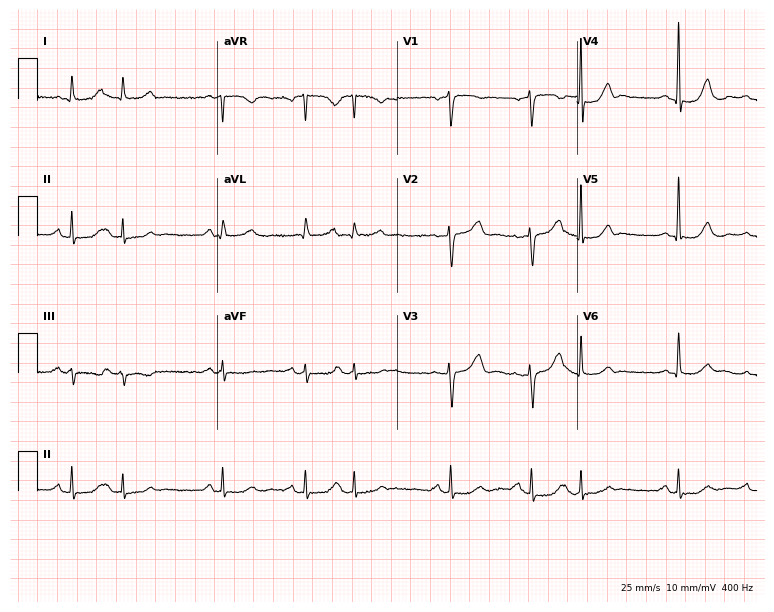
Electrocardiogram (7.3-second recording at 400 Hz), a male, 68 years old. Overall reading on record: normal ECG.